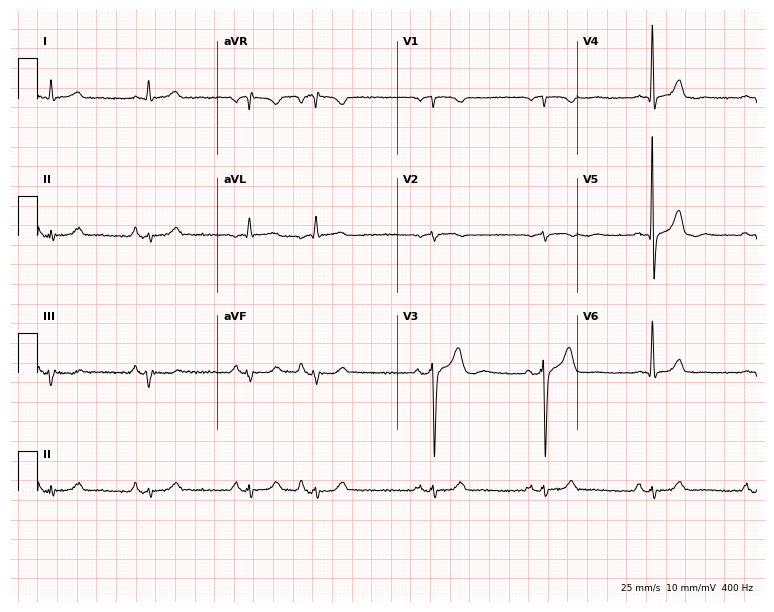
12-lead ECG from a man, 59 years old. Screened for six findings — first-degree AV block, right bundle branch block (RBBB), left bundle branch block (LBBB), sinus bradycardia, atrial fibrillation (AF), sinus tachycardia — none is recorded.